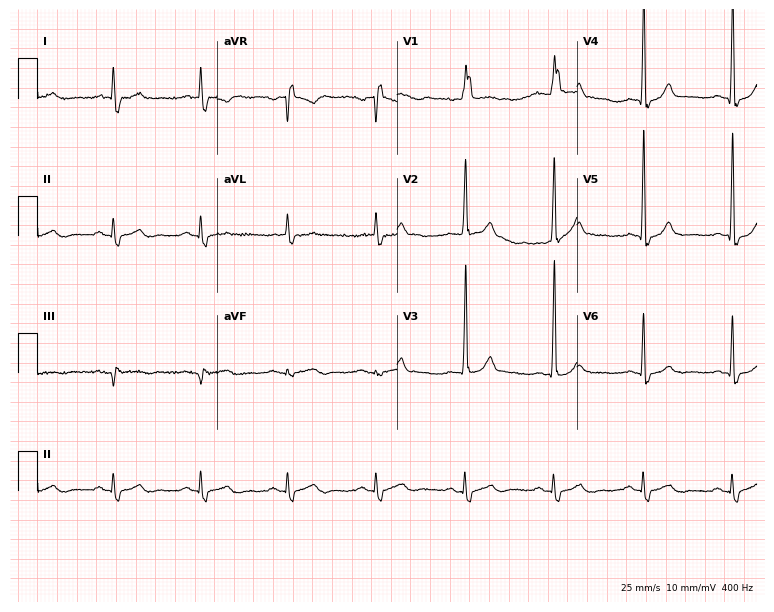
12-lead ECG from a male, 63 years old (7.3-second recording at 400 Hz). No first-degree AV block, right bundle branch block, left bundle branch block, sinus bradycardia, atrial fibrillation or sinus tachycardia recorded for this tracing.